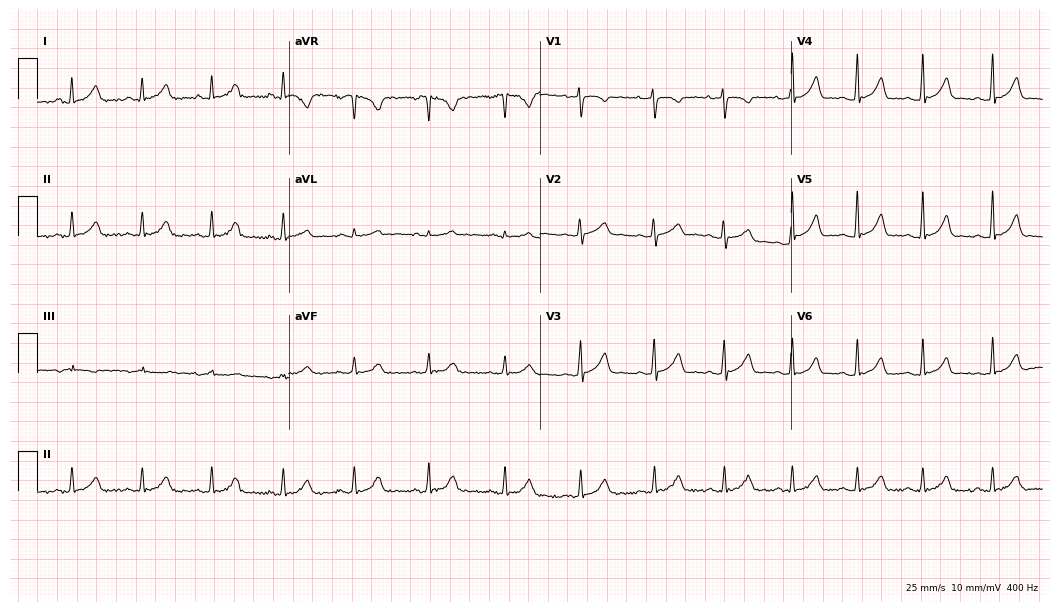
12-lead ECG from a woman, 32 years old. Labelled as a normal ECG.